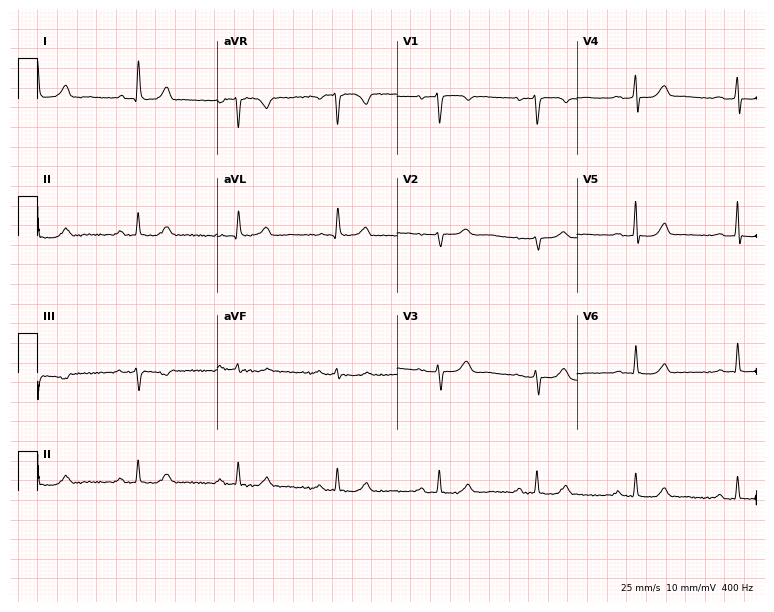
Resting 12-lead electrocardiogram (7.3-second recording at 400 Hz). Patient: a 53-year-old female. None of these six findings is recorded: first-degree AV block, right bundle branch block, left bundle branch block, sinus bradycardia, atrial fibrillation, sinus tachycardia.